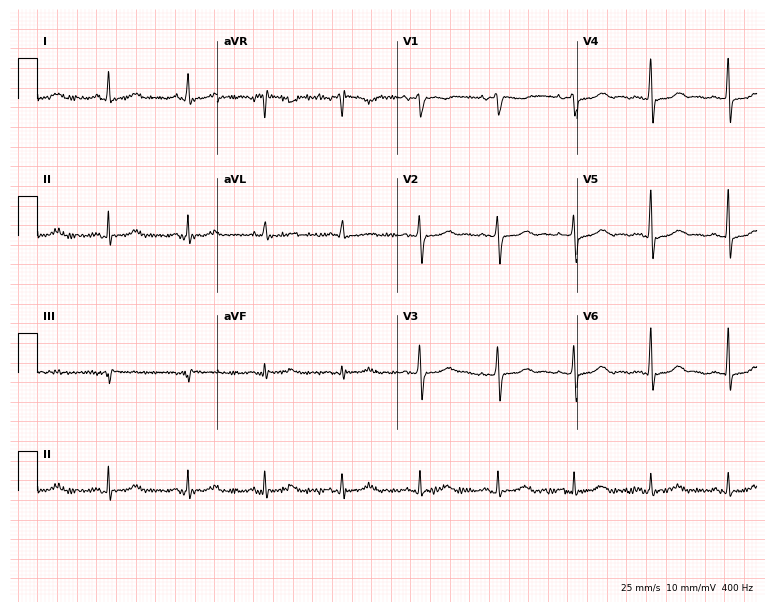
Electrocardiogram, a 45-year-old female patient. Overall reading on record: normal ECG.